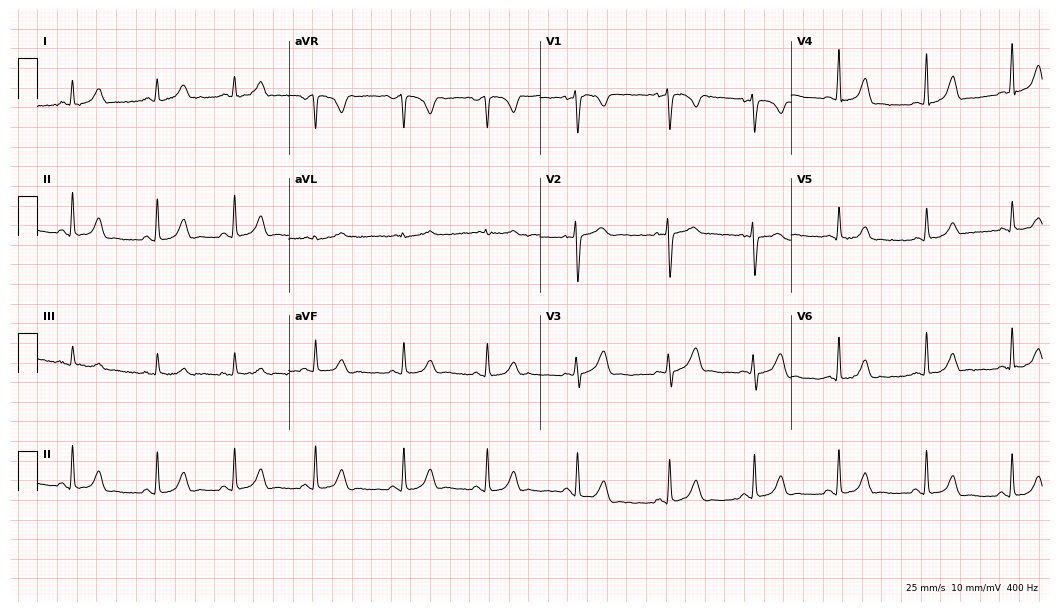
Electrocardiogram (10.2-second recording at 400 Hz), a 25-year-old female. Overall reading on record: normal ECG.